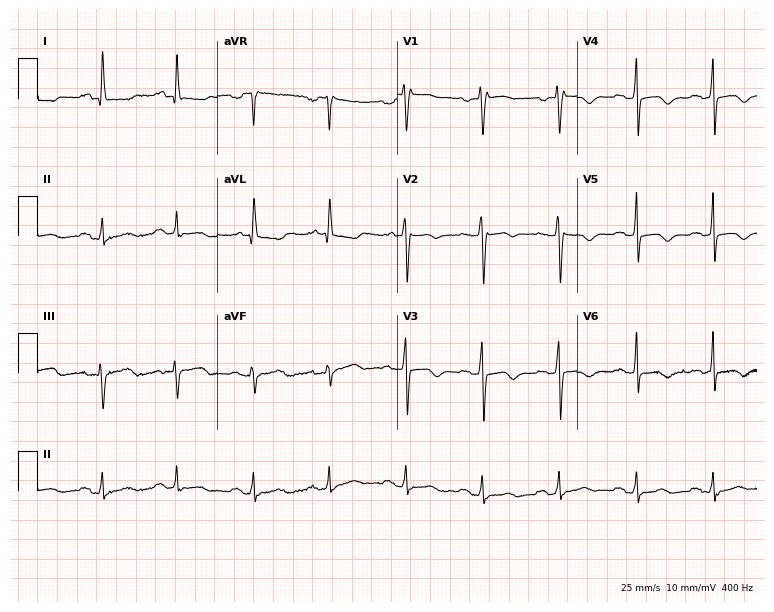
ECG (7.3-second recording at 400 Hz) — a 58-year-old female. Screened for six findings — first-degree AV block, right bundle branch block, left bundle branch block, sinus bradycardia, atrial fibrillation, sinus tachycardia — none is recorded. Only these six findings were labelled.